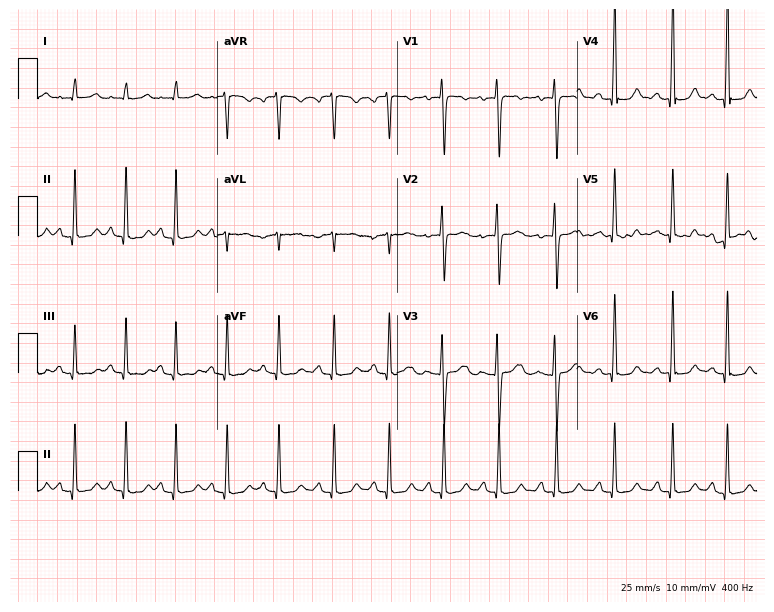
Standard 12-lead ECG recorded from a 25-year-old female patient. The tracing shows sinus tachycardia (a sinus rate of 100 beats per minute or more).